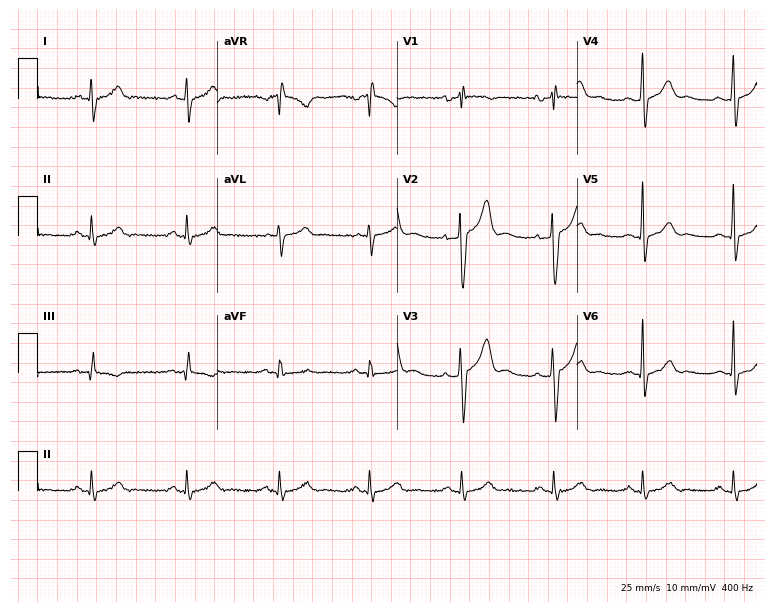
ECG — a male, 36 years old. Labelled as a normal ECG.